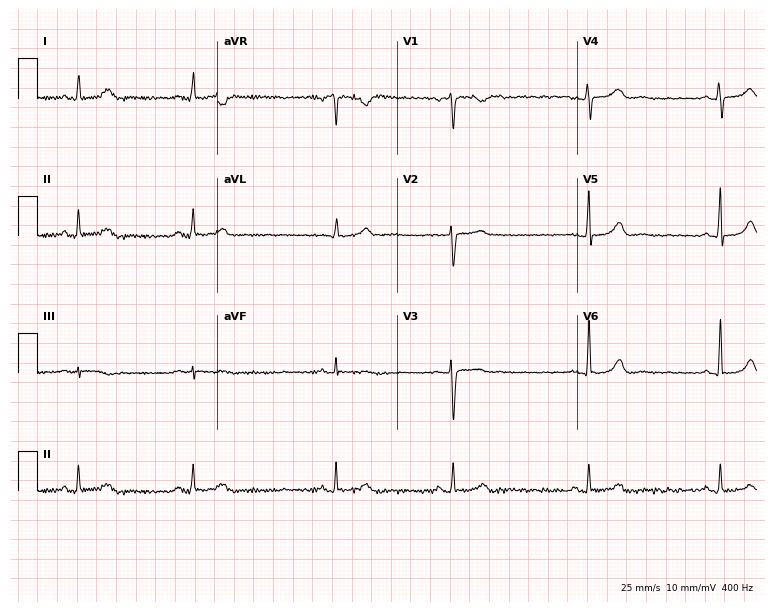
12-lead ECG from a woman, 40 years old. Recorded interpretation: within normal limits.